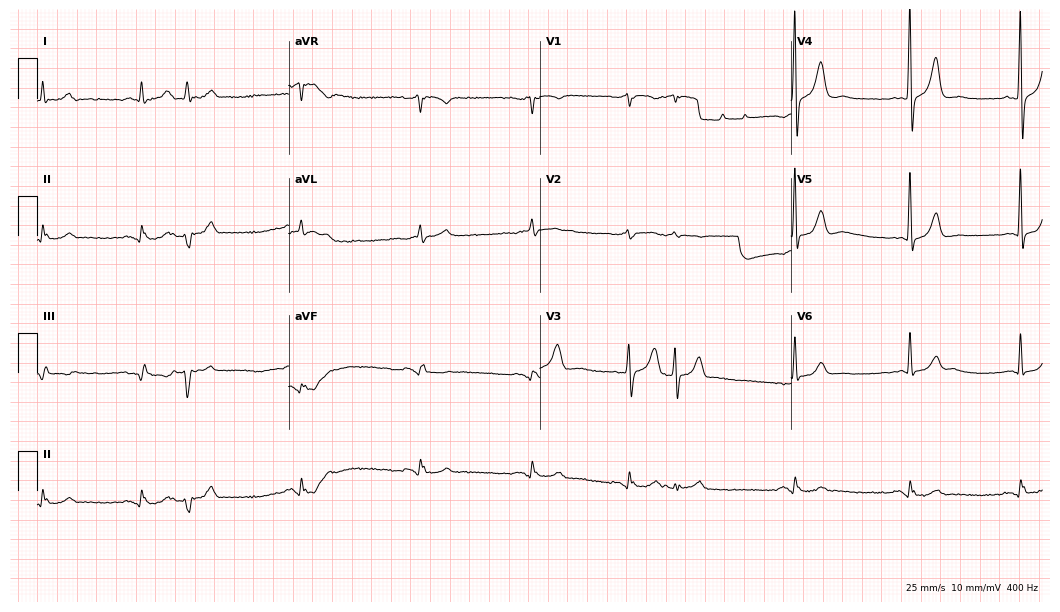
Electrocardiogram (10.2-second recording at 400 Hz), a male, 82 years old. Of the six screened findings (first-degree AV block, right bundle branch block, left bundle branch block, sinus bradycardia, atrial fibrillation, sinus tachycardia), none is recorded.